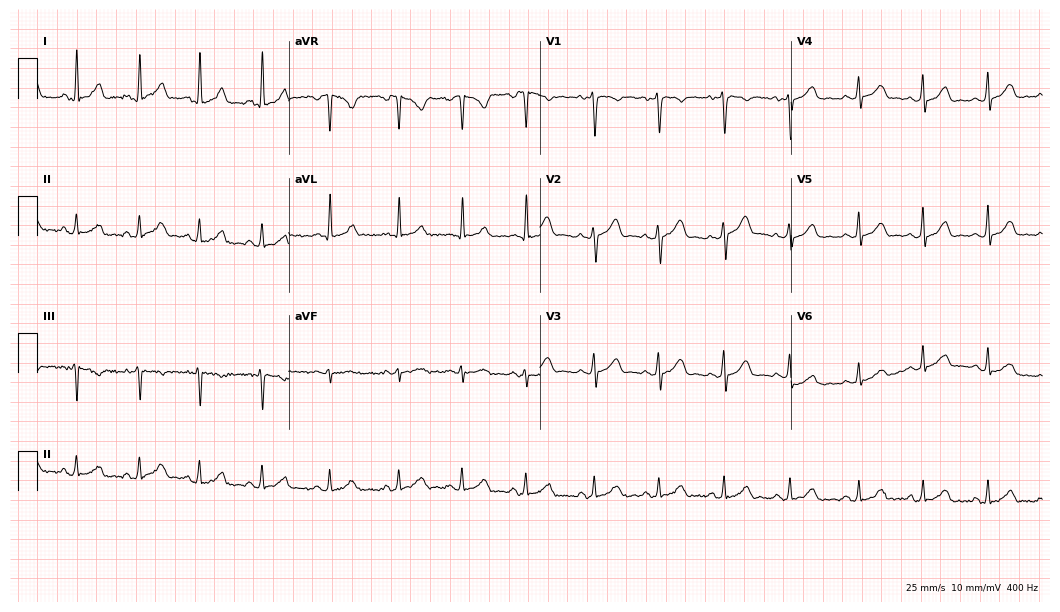
Resting 12-lead electrocardiogram (10.2-second recording at 400 Hz). Patient: a female, 23 years old. Read as a normal ECG.